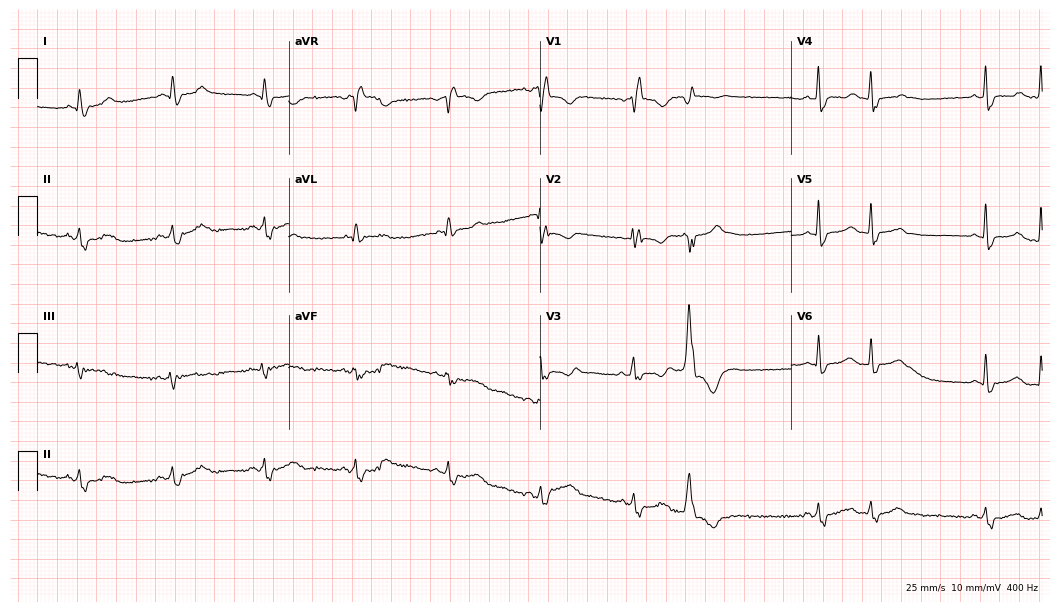
Standard 12-lead ECG recorded from a 65-year-old woman. The tracing shows right bundle branch block.